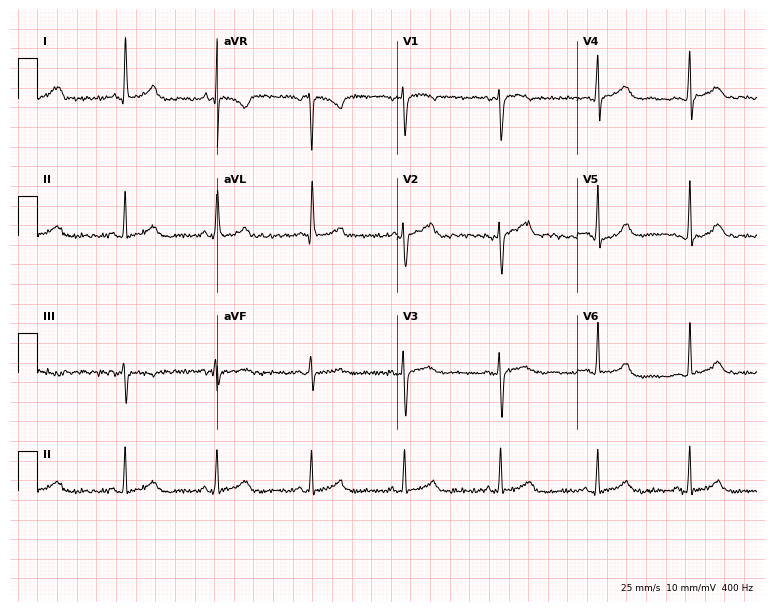
Standard 12-lead ECG recorded from a 50-year-old woman (7.3-second recording at 400 Hz). Read as a normal ECG.